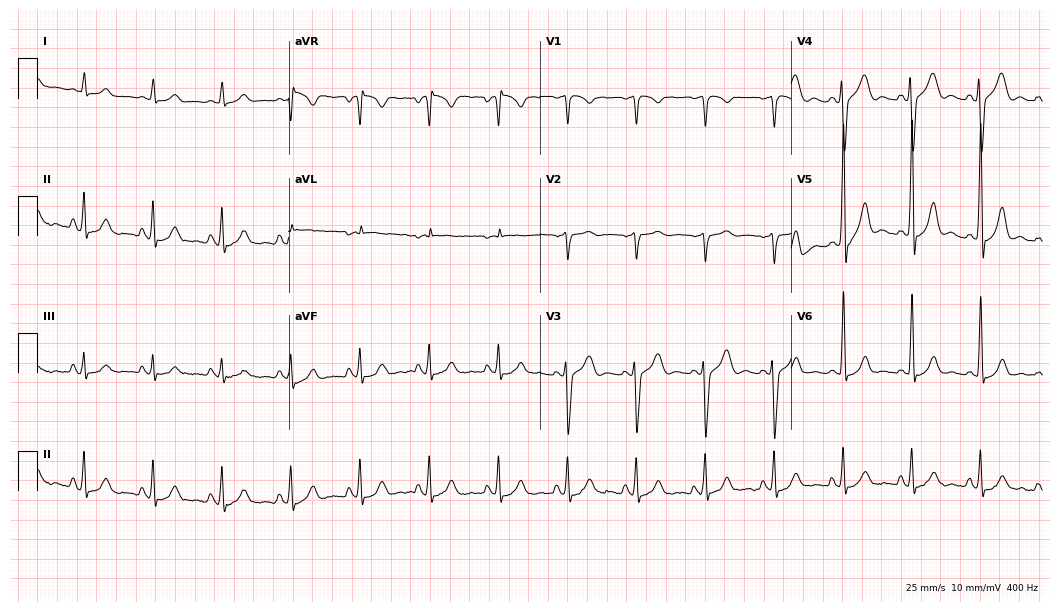
Standard 12-lead ECG recorded from a 39-year-old male (10.2-second recording at 400 Hz). None of these six findings is recorded: first-degree AV block, right bundle branch block (RBBB), left bundle branch block (LBBB), sinus bradycardia, atrial fibrillation (AF), sinus tachycardia. Findings outside these six are not listed.